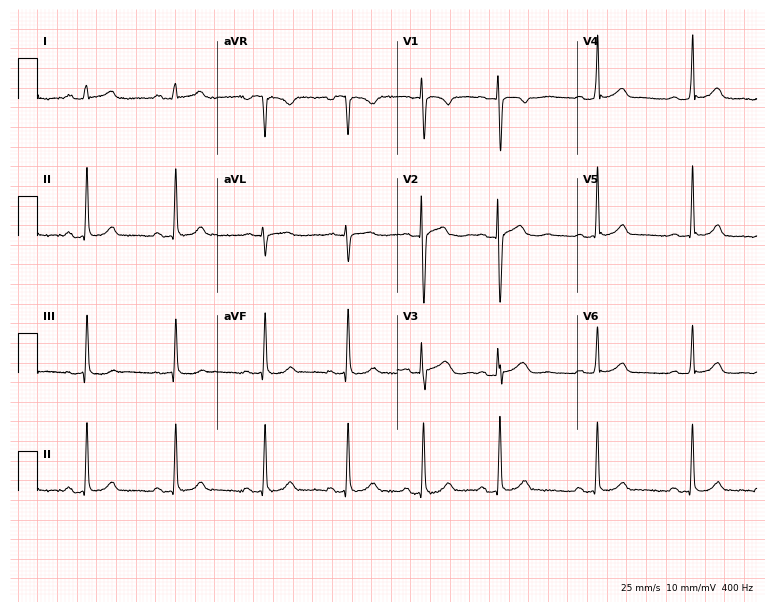
Electrocardiogram, a woman, 30 years old. Of the six screened findings (first-degree AV block, right bundle branch block (RBBB), left bundle branch block (LBBB), sinus bradycardia, atrial fibrillation (AF), sinus tachycardia), none is recorded.